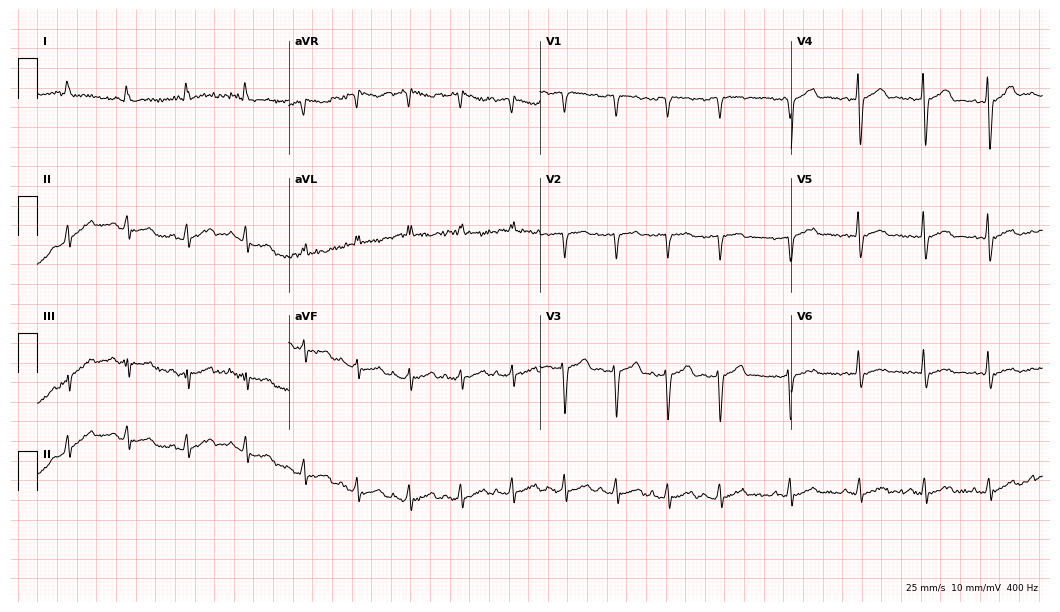
12-lead ECG (10.2-second recording at 400 Hz) from a female patient, 78 years old. Screened for six findings — first-degree AV block, right bundle branch block (RBBB), left bundle branch block (LBBB), sinus bradycardia, atrial fibrillation (AF), sinus tachycardia — none is recorded.